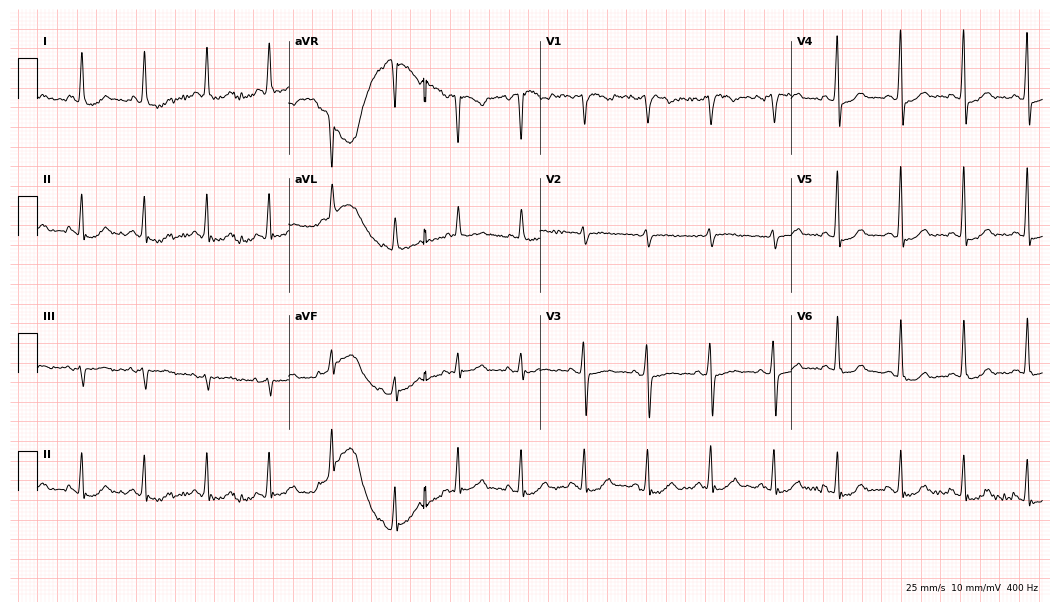
ECG — a 71-year-old female. Labelled as a normal ECG.